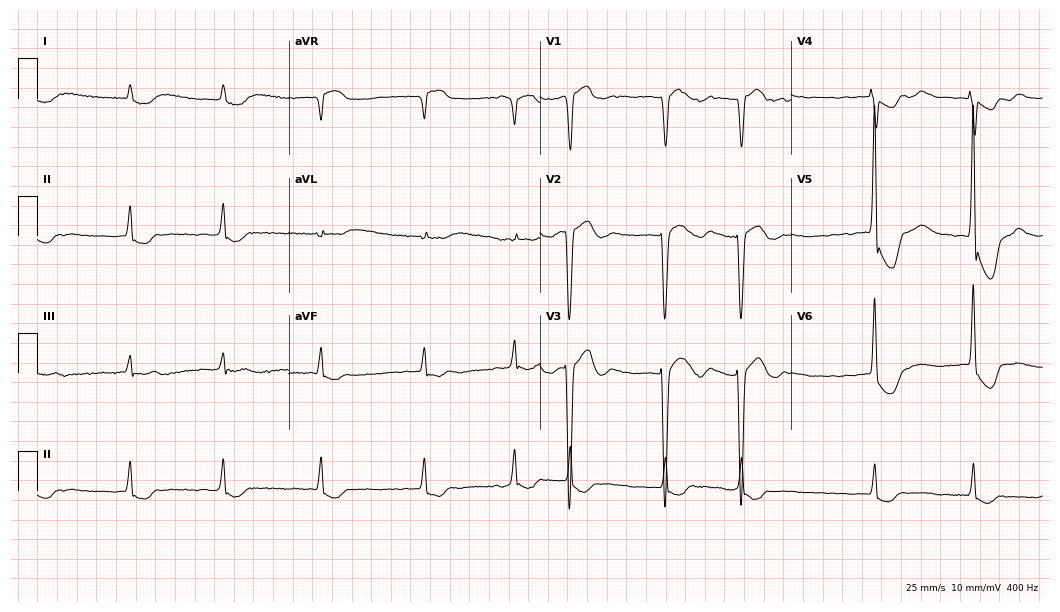
12-lead ECG from a woman, 85 years old (10.2-second recording at 400 Hz). No first-degree AV block, right bundle branch block, left bundle branch block, sinus bradycardia, atrial fibrillation or sinus tachycardia recorded for this tracing. Findings outside these six are not listed.